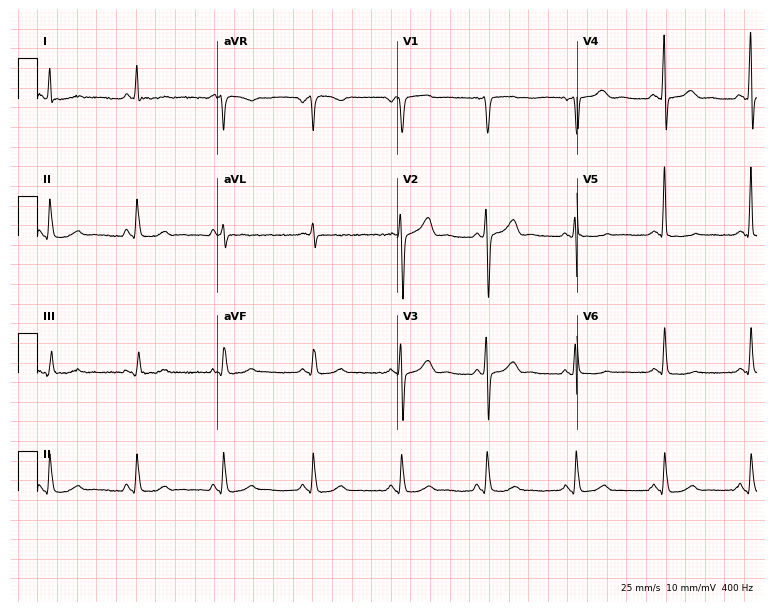
Electrocardiogram, a male, 60 years old. Of the six screened findings (first-degree AV block, right bundle branch block, left bundle branch block, sinus bradycardia, atrial fibrillation, sinus tachycardia), none is recorded. Findings outside these six are not listed.